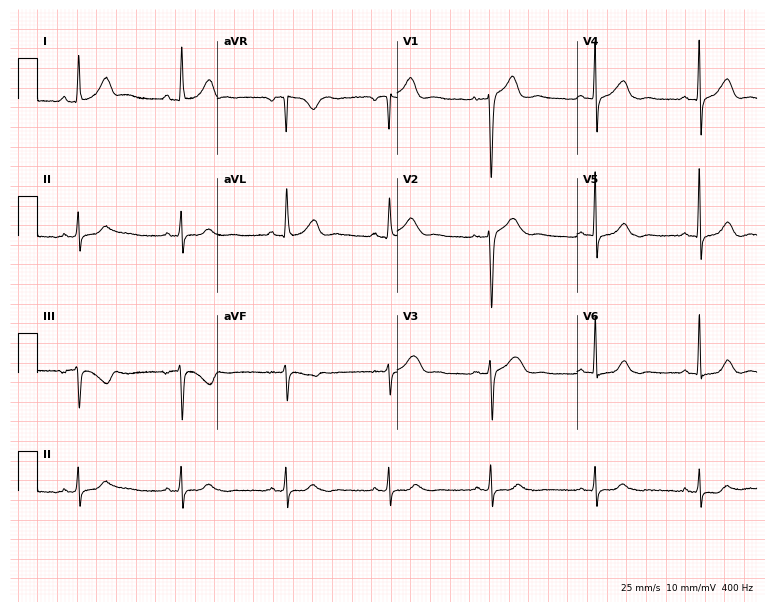
12-lead ECG (7.3-second recording at 400 Hz) from a woman, 56 years old. Screened for six findings — first-degree AV block, right bundle branch block, left bundle branch block, sinus bradycardia, atrial fibrillation, sinus tachycardia — none is recorded.